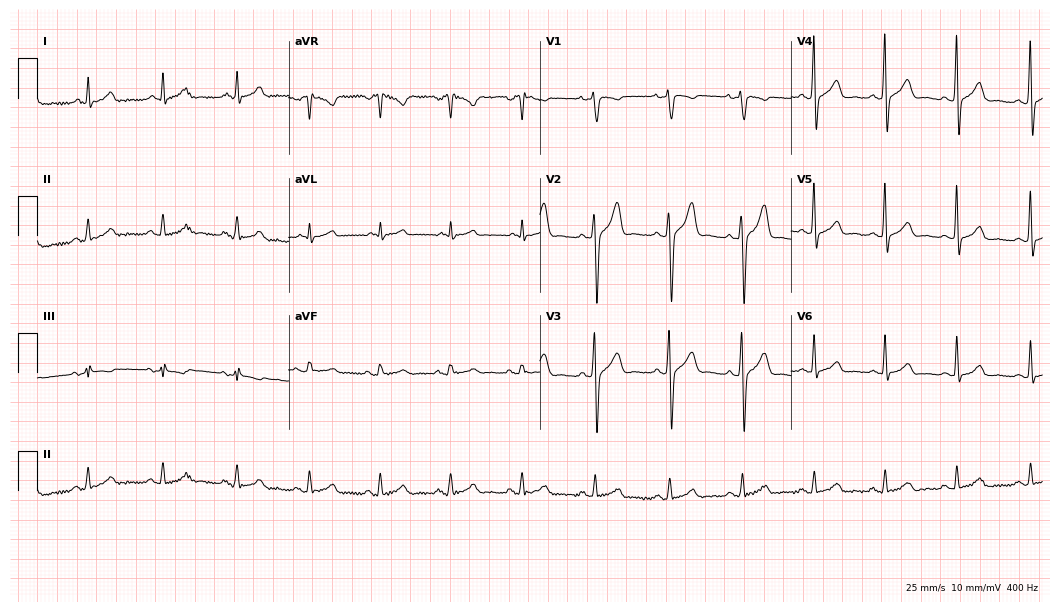
Resting 12-lead electrocardiogram (10.2-second recording at 400 Hz). Patient: a man, 37 years old. Read as a normal ECG.